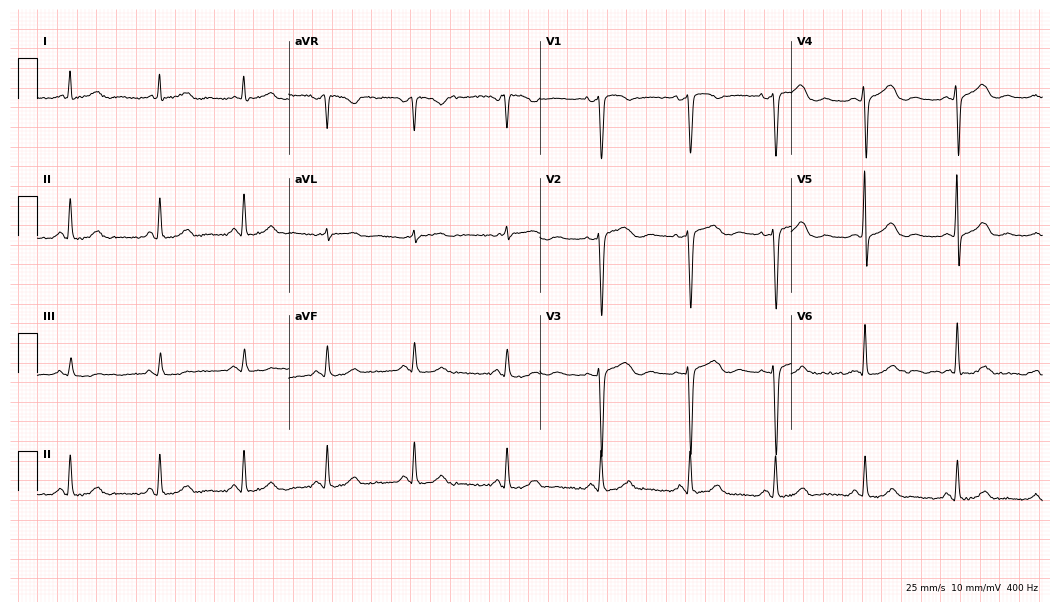
ECG — a 38-year-old female. Labelled as a normal ECG.